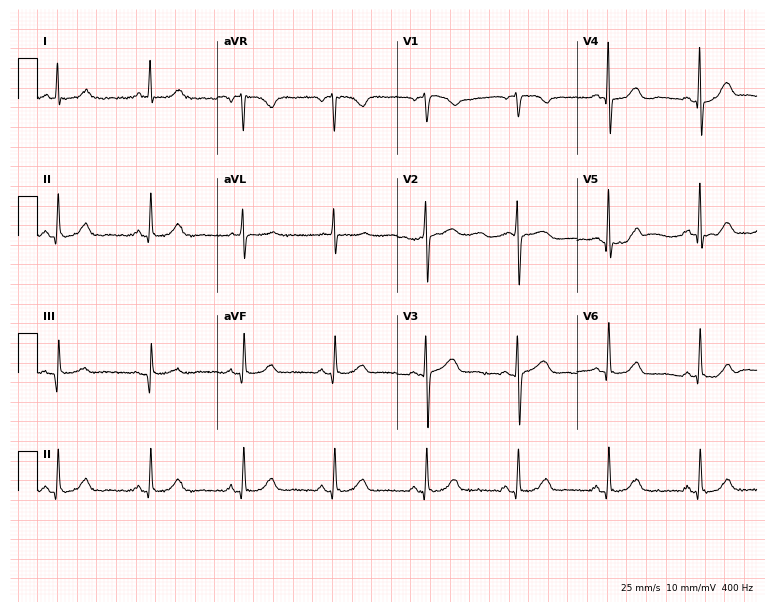
ECG — a 66-year-old female patient. Labelled as a normal ECG.